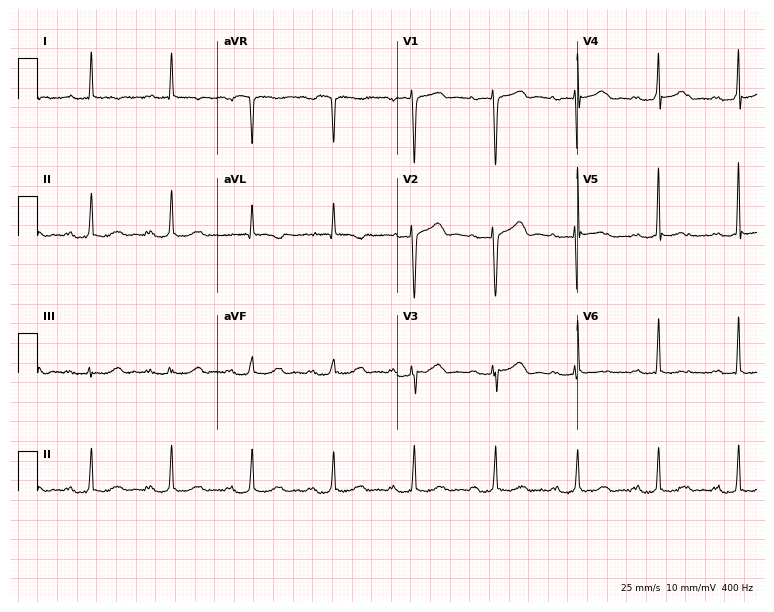
12-lead ECG from a female patient, 83 years old (7.3-second recording at 400 Hz). Shows first-degree AV block.